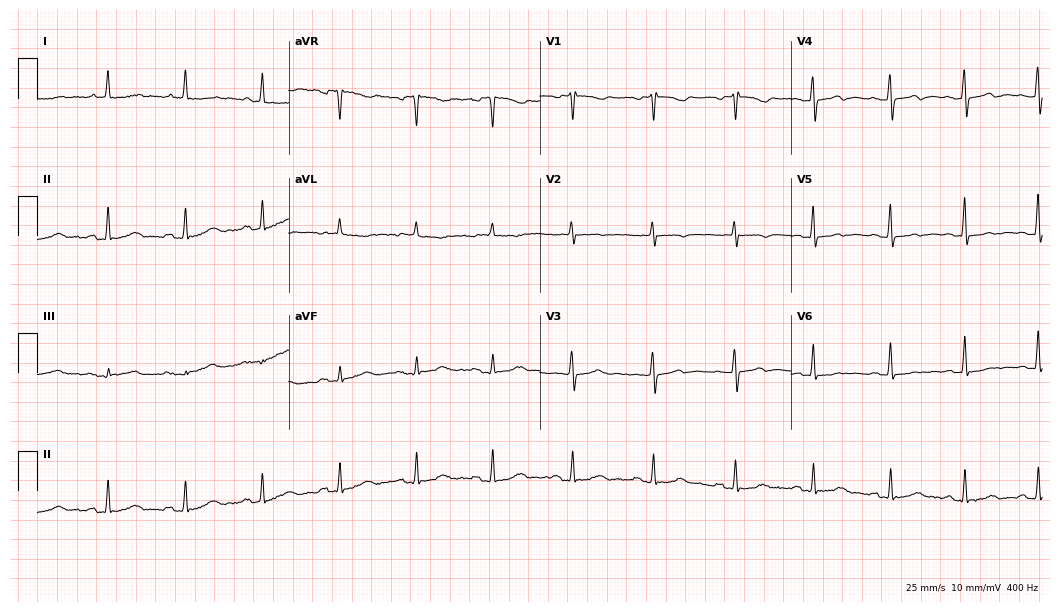
ECG (10.2-second recording at 400 Hz) — a 58-year-old female patient. Screened for six findings — first-degree AV block, right bundle branch block, left bundle branch block, sinus bradycardia, atrial fibrillation, sinus tachycardia — none is recorded.